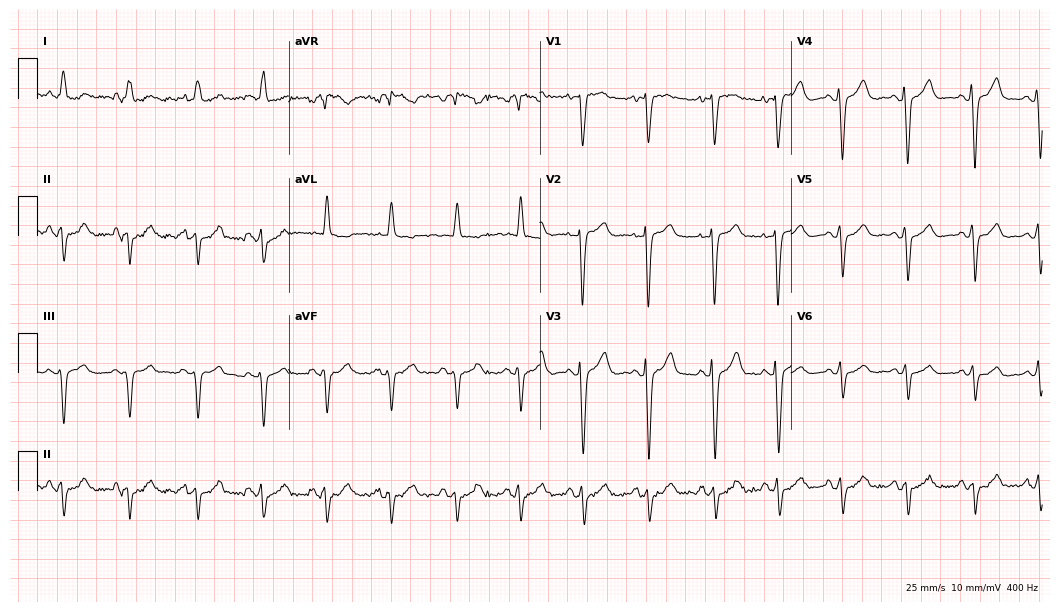
Standard 12-lead ECG recorded from a woman, 78 years old. None of these six findings is recorded: first-degree AV block, right bundle branch block (RBBB), left bundle branch block (LBBB), sinus bradycardia, atrial fibrillation (AF), sinus tachycardia. Only these six findings were labelled.